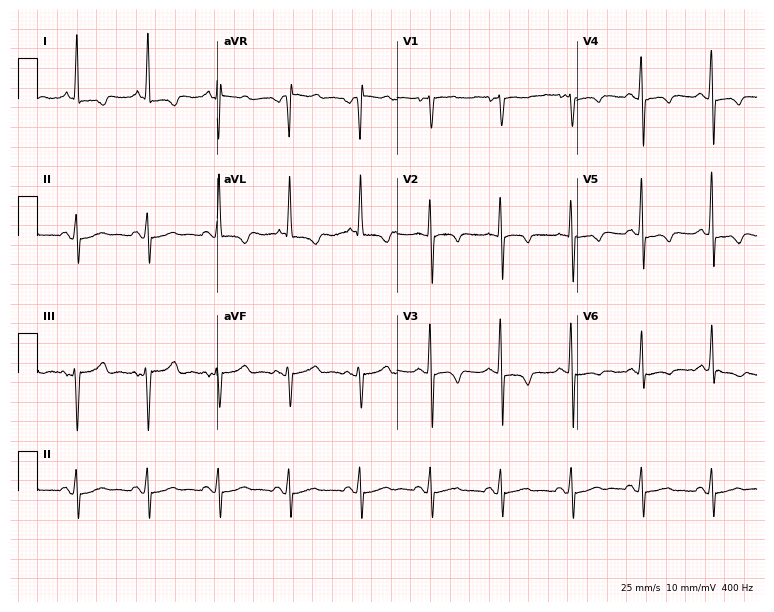
Standard 12-lead ECG recorded from a female patient, 66 years old (7.3-second recording at 400 Hz). None of these six findings is recorded: first-degree AV block, right bundle branch block, left bundle branch block, sinus bradycardia, atrial fibrillation, sinus tachycardia.